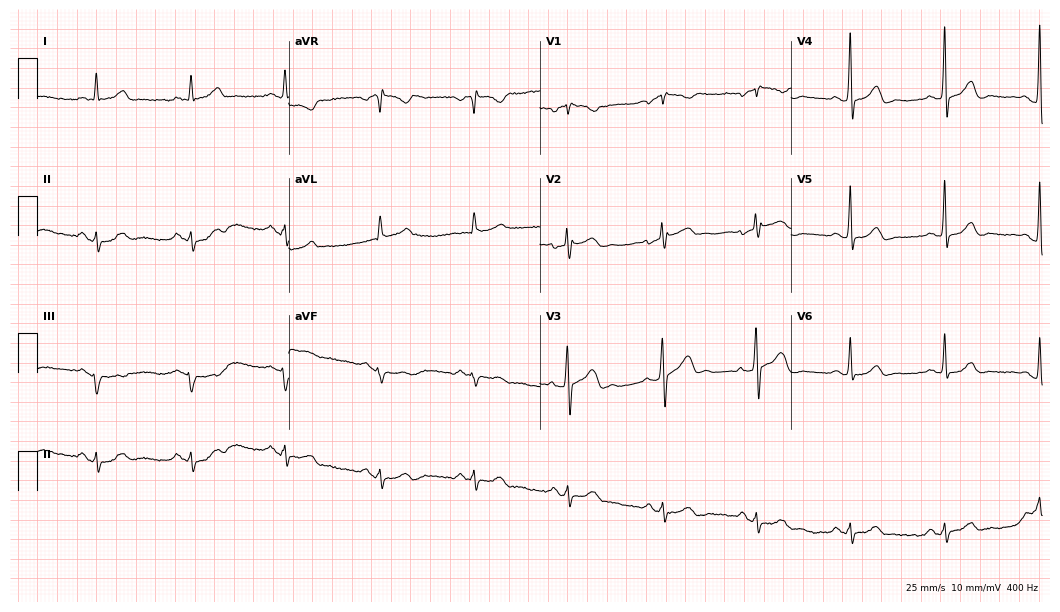
ECG — a male, 50 years old. Labelled as a normal ECG.